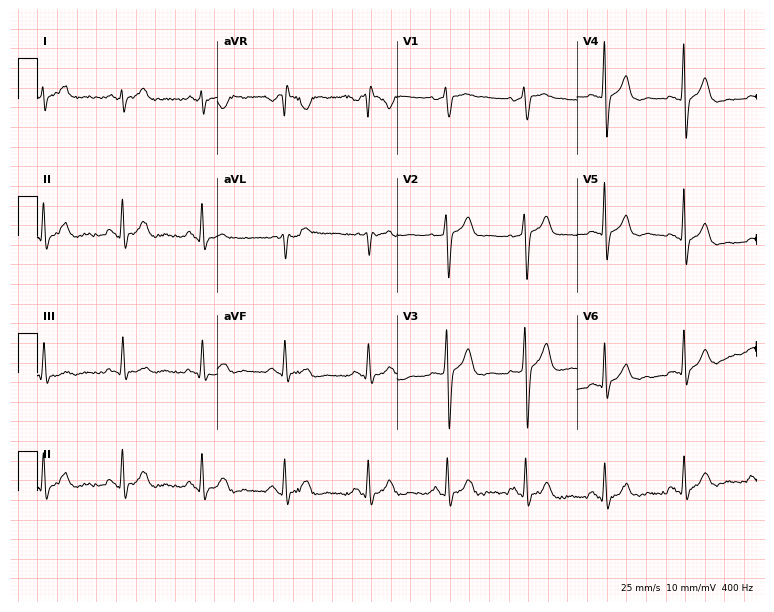
Electrocardiogram (7.3-second recording at 400 Hz), a 26-year-old male. Of the six screened findings (first-degree AV block, right bundle branch block, left bundle branch block, sinus bradycardia, atrial fibrillation, sinus tachycardia), none is recorded. Only these six findings were labelled.